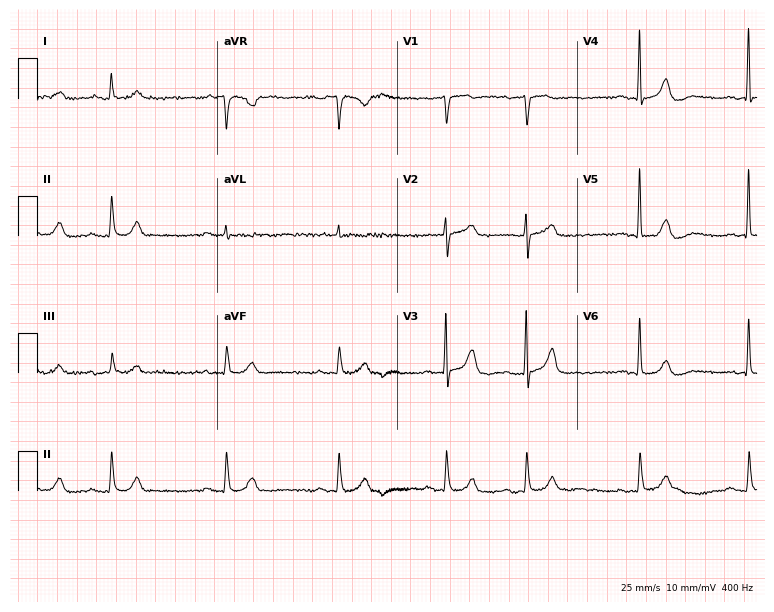
12-lead ECG from an 80-year-old male (7.3-second recording at 400 Hz). No first-degree AV block, right bundle branch block (RBBB), left bundle branch block (LBBB), sinus bradycardia, atrial fibrillation (AF) or sinus tachycardia recorded for this tracing.